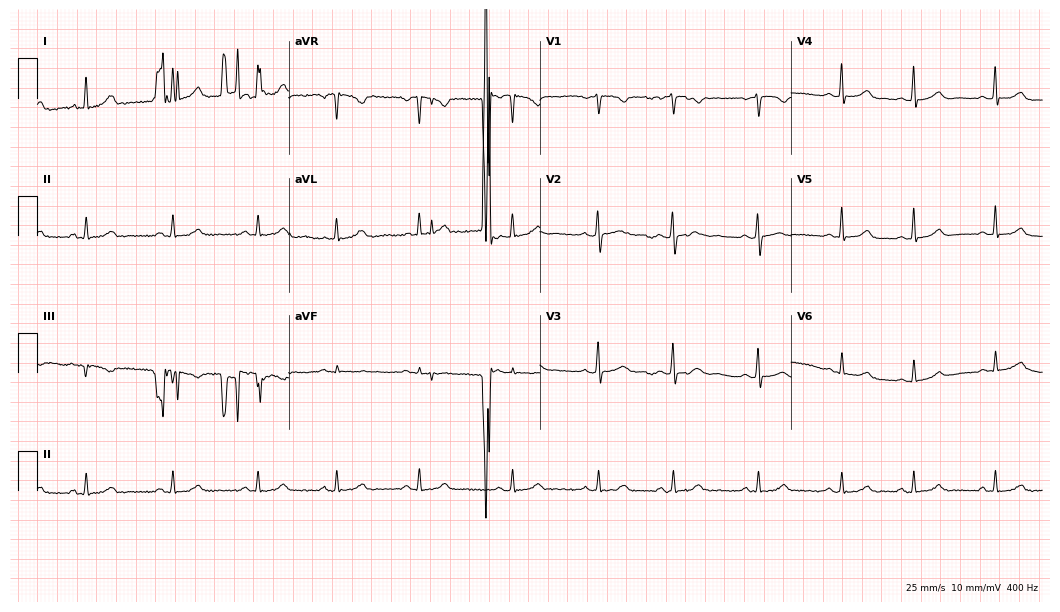
Standard 12-lead ECG recorded from a female, 19 years old. None of these six findings is recorded: first-degree AV block, right bundle branch block (RBBB), left bundle branch block (LBBB), sinus bradycardia, atrial fibrillation (AF), sinus tachycardia. Findings outside these six are not listed.